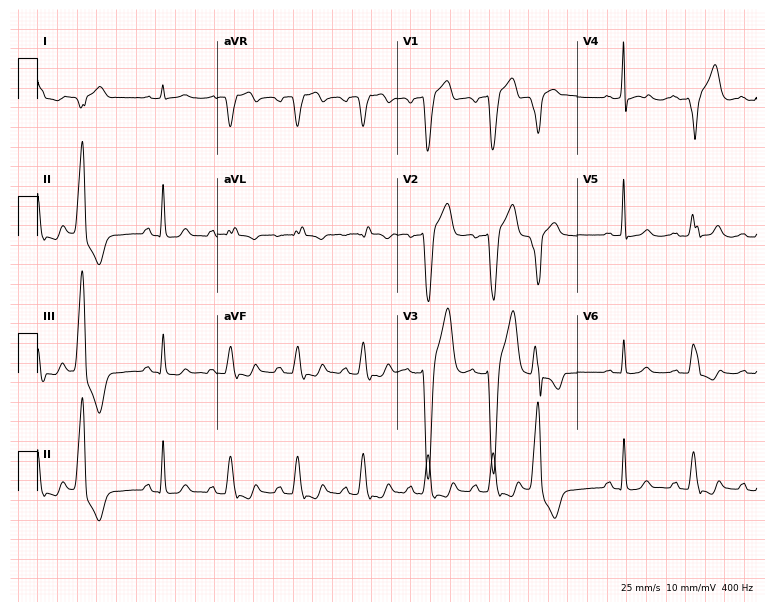
Standard 12-lead ECG recorded from a 76-year-old man (7.3-second recording at 400 Hz). None of these six findings is recorded: first-degree AV block, right bundle branch block, left bundle branch block, sinus bradycardia, atrial fibrillation, sinus tachycardia.